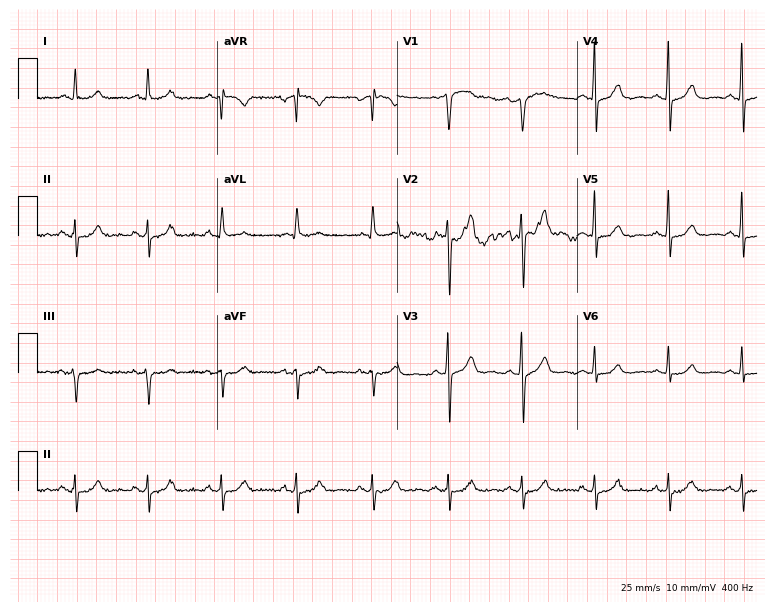
12-lead ECG from a man, 67 years old. Screened for six findings — first-degree AV block, right bundle branch block, left bundle branch block, sinus bradycardia, atrial fibrillation, sinus tachycardia — none is recorded. Other findings, if any, are not listed.